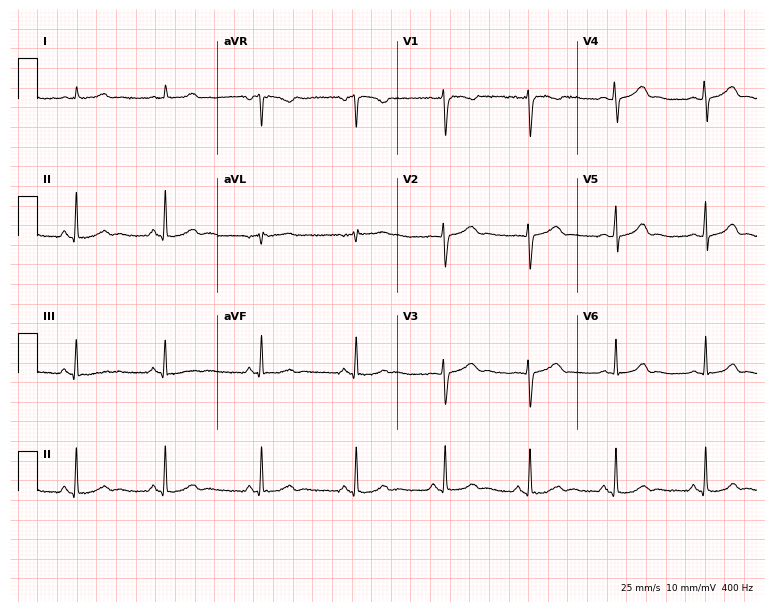
12-lead ECG from a female, 19 years old. Recorded interpretation: within normal limits.